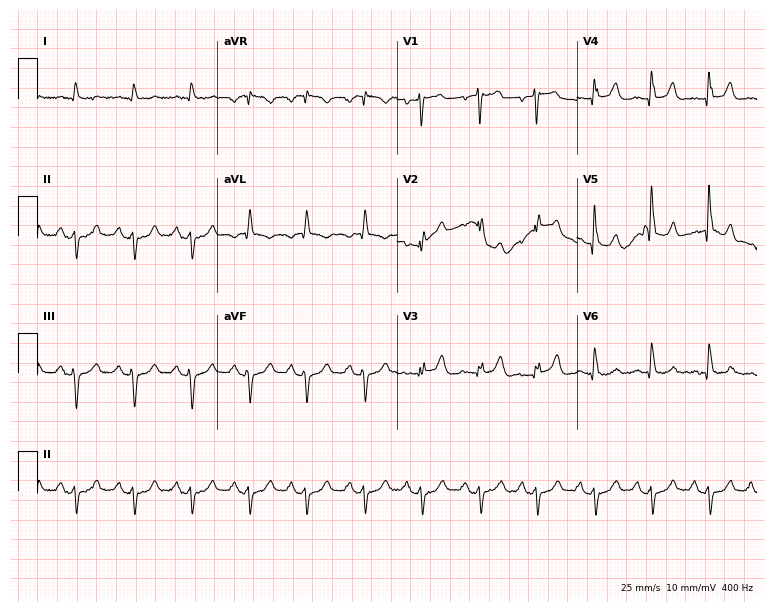
ECG (7.3-second recording at 400 Hz) — a female, 85 years old. Findings include sinus tachycardia (a sinus rate of 100 beats per minute or more).